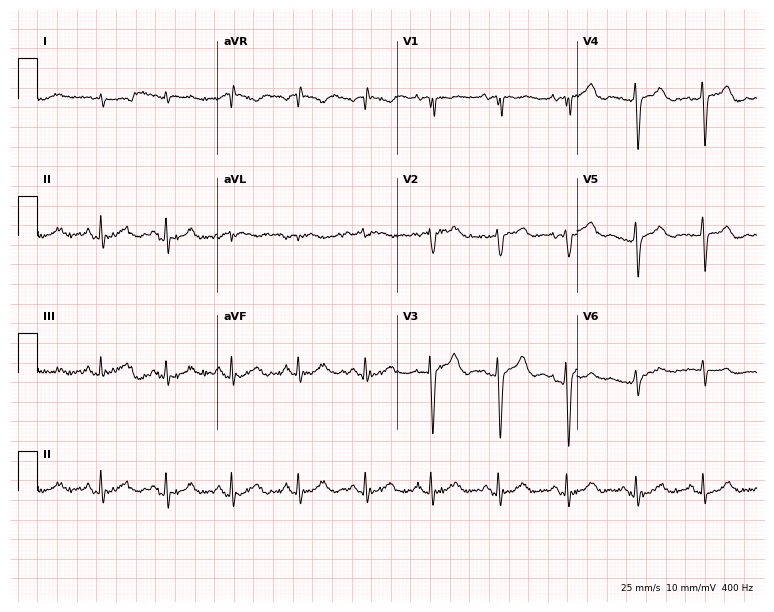
Resting 12-lead electrocardiogram (7.3-second recording at 400 Hz). Patient: a male, 82 years old. None of these six findings is recorded: first-degree AV block, right bundle branch block, left bundle branch block, sinus bradycardia, atrial fibrillation, sinus tachycardia. Findings outside these six are not listed.